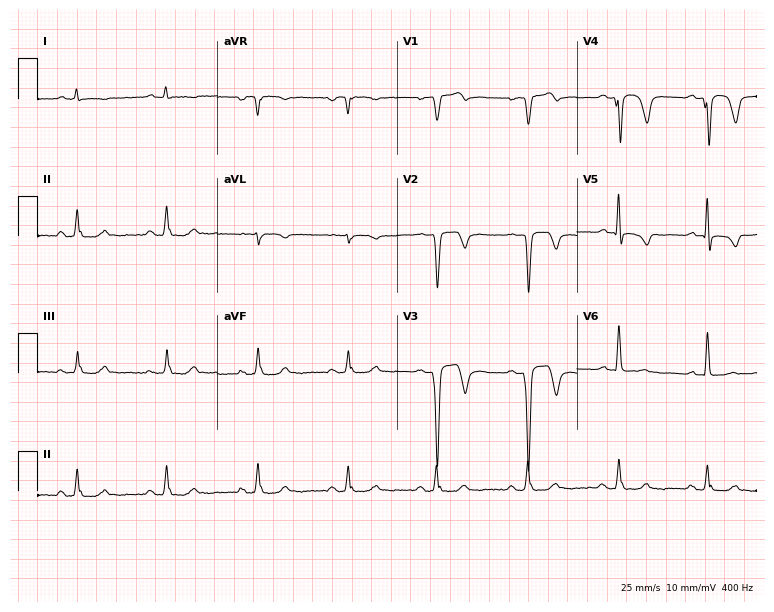
12-lead ECG from a 62-year-old male. Screened for six findings — first-degree AV block, right bundle branch block, left bundle branch block, sinus bradycardia, atrial fibrillation, sinus tachycardia — none is recorded. Other findings, if any, are not listed.